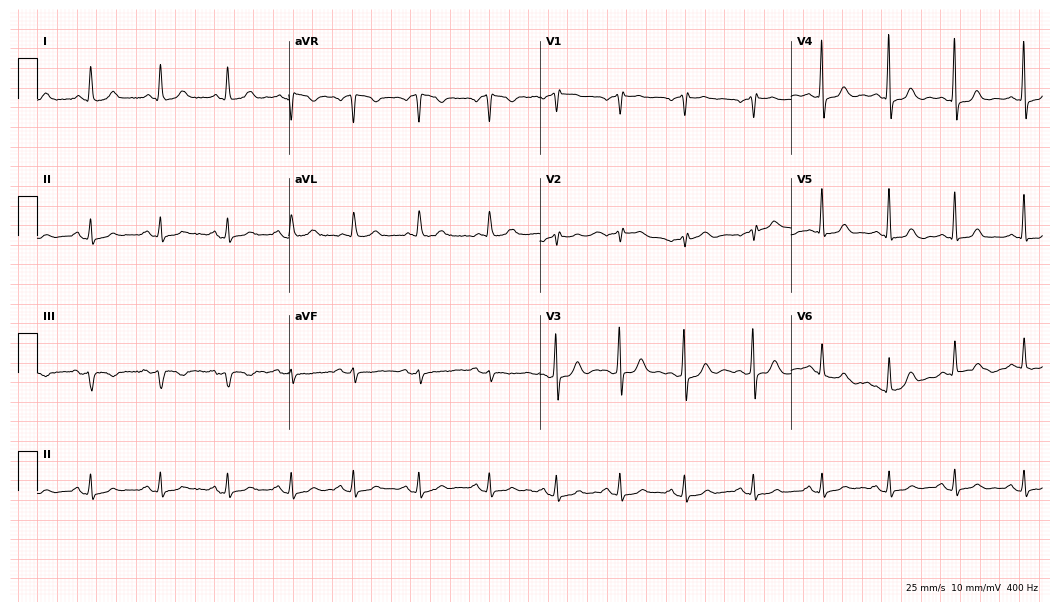
Electrocardiogram, a 58-year-old female. Of the six screened findings (first-degree AV block, right bundle branch block (RBBB), left bundle branch block (LBBB), sinus bradycardia, atrial fibrillation (AF), sinus tachycardia), none is recorded. Findings outside these six are not listed.